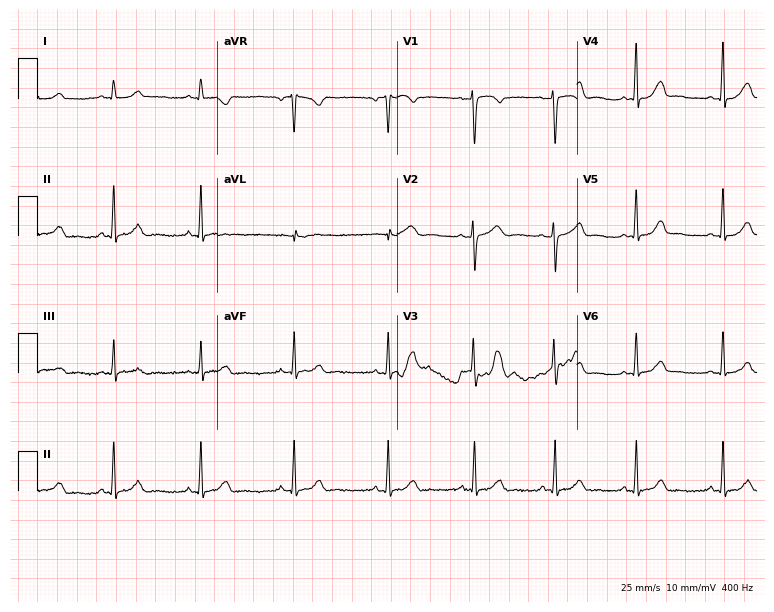
Resting 12-lead electrocardiogram. Patient: a female, 30 years old. Read as a normal ECG.